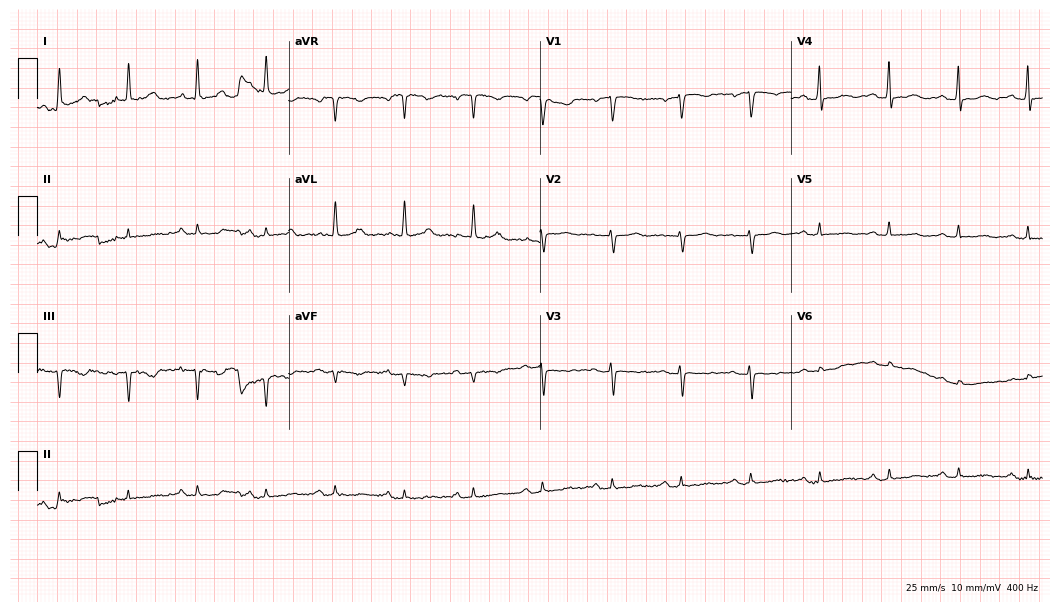
ECG (10.2-second recording at 400 Hz) — an 82-year-old female. Screened for six findings — first-degree AV block, right bundle branch block (RBBB), left bundle branch block (LBBB), sinus bradycardia, atrial fibrillation (AF), sinus tachycardia — none is recorded.